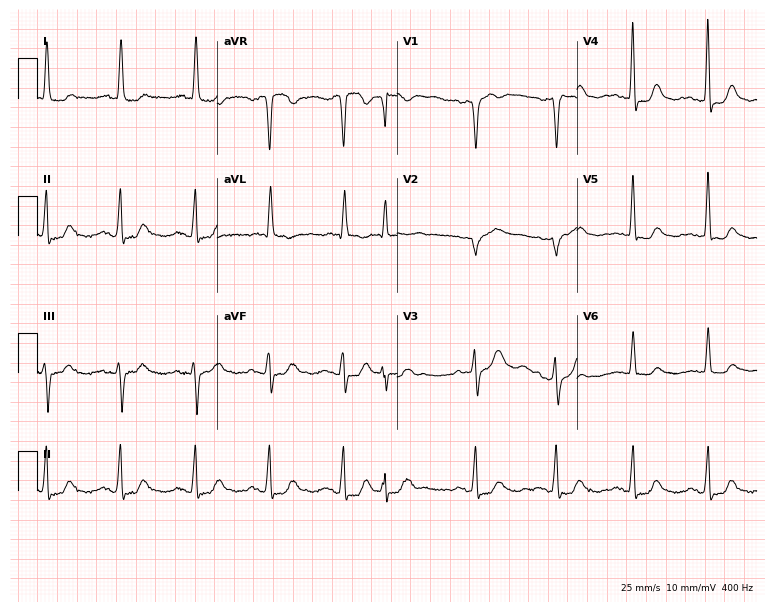
12-lead ECG from a female patient, 78 years old. No first-degree AV block, right bundle branch block (RBBB), left bundle branch block (LBBB), sinus bradycardia, atrial fibrillation (AF) or sinus tachycardia recorded for this tracing.